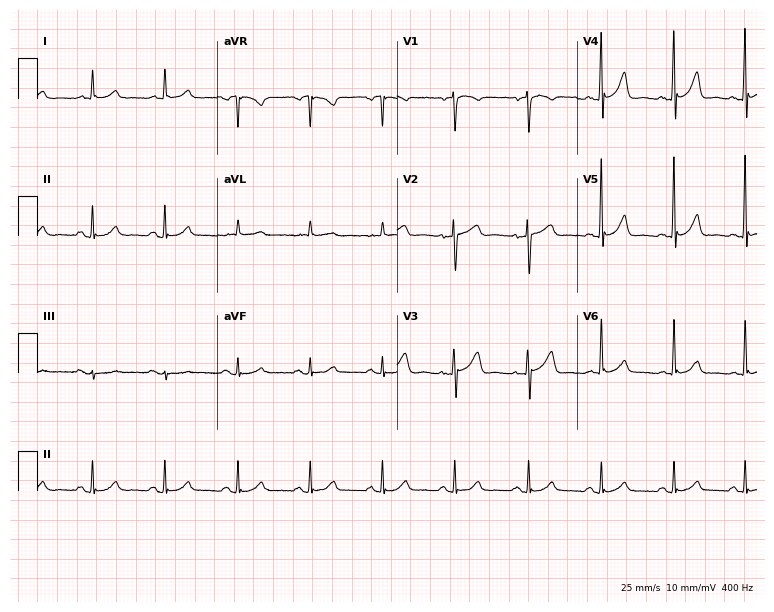
12-lead ECG from a 74-year-old male. Recorded interpretation: within normal limits.